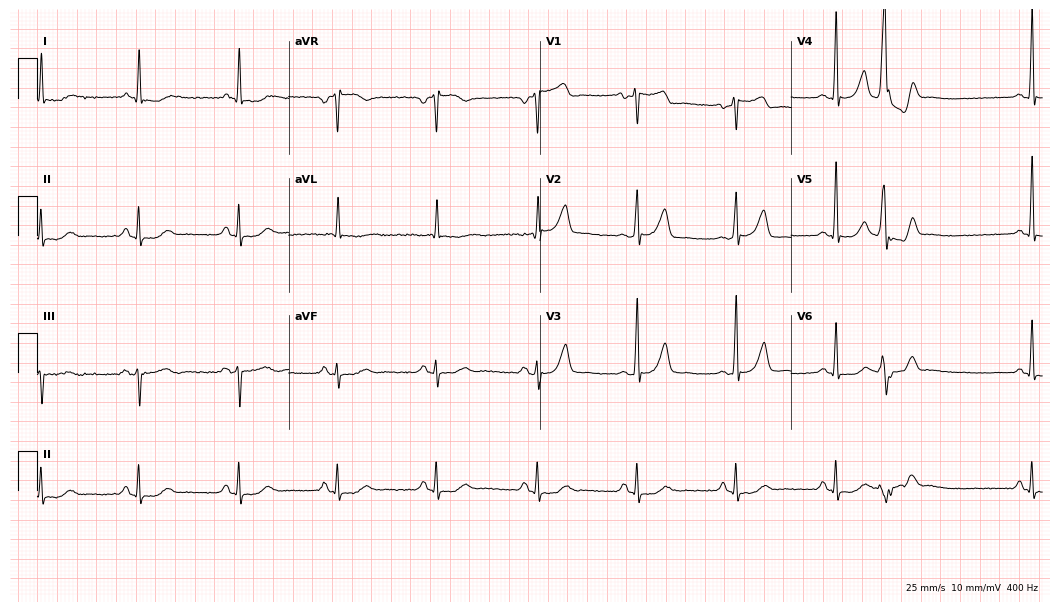
Resting 12-lead electrocardiogram. Patient: a male, 61 years old. Read as a normal ECG.